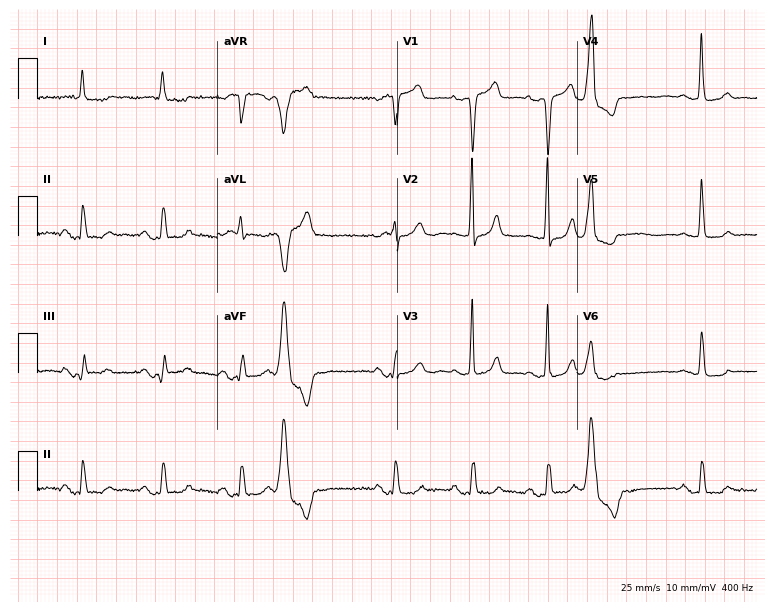
Resting 12-lead electrocardiogram. Patient: a 78-year-old woman. None of these six findings is recorded: first-degree AV block, right bundle branch block, left bundle branch block, sinus bradycardia, atrial fibrillation, sinus tachycardia.